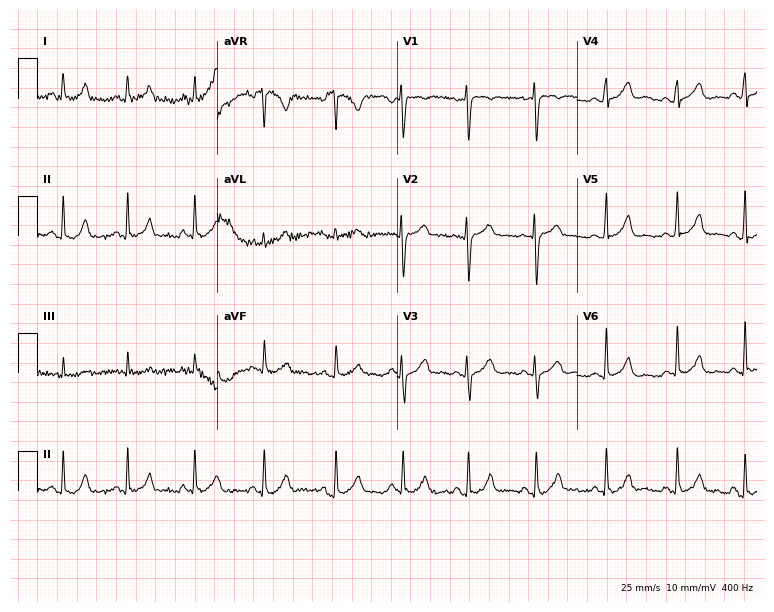
12-lead ECG (7.3-second recording at 400 Hz) from a female, 26 years old. Labelled as a normal ECG.